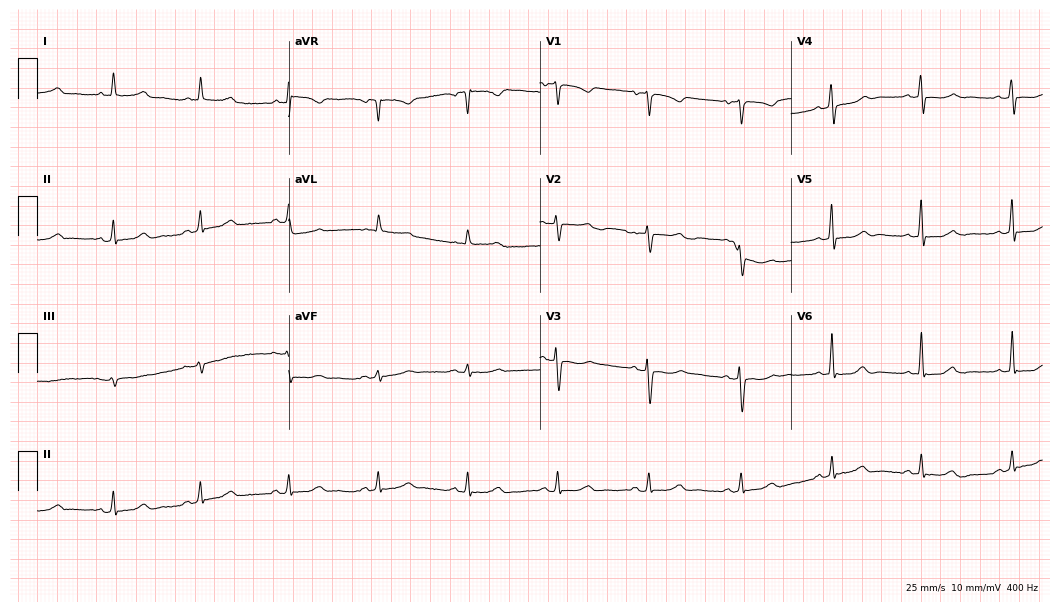
12-lead ECG from a woman, 59 years old. Recorded interpretation: within normal limits.